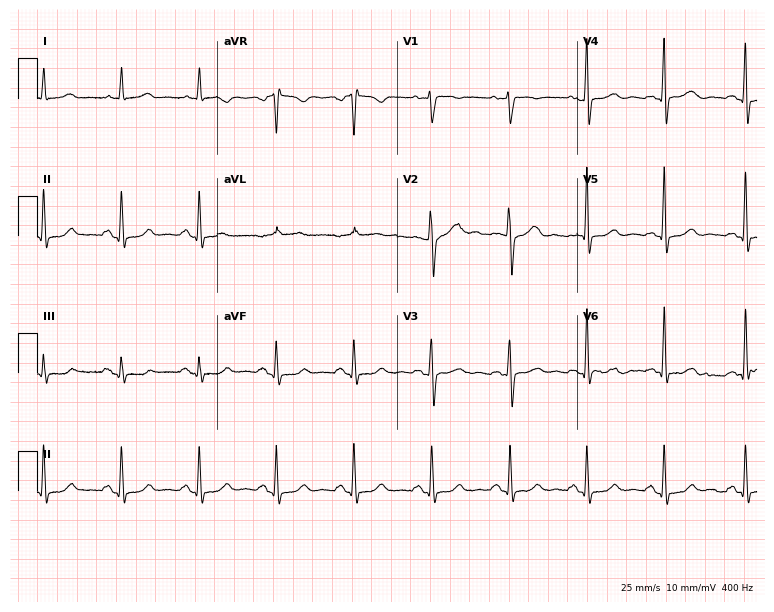
Electrocardiogram, a 57-year-old woman. Of the six screened findings (first-degree AV block, right bundle branch block (RBBB), left bundle branch block (LBBB), sinus bradycardia, atrial fibrillation (AF), sinus tachycardia), none is recorded.